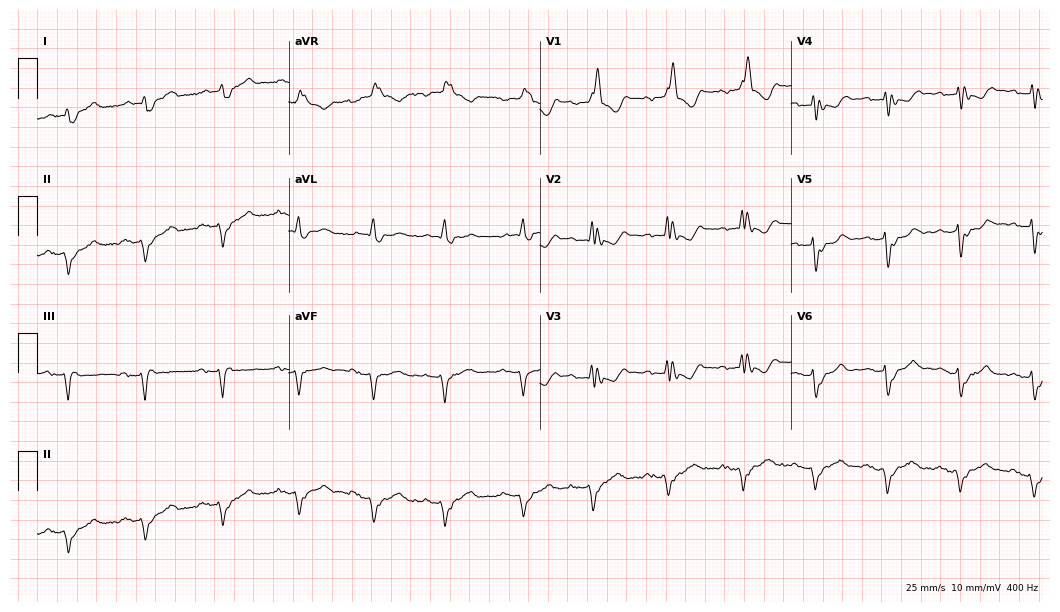
Standard 12-lead ECG recorded from a 79-year-old man (10.2-second recording at 400 Hz). The tracing shows right bundle branch block.